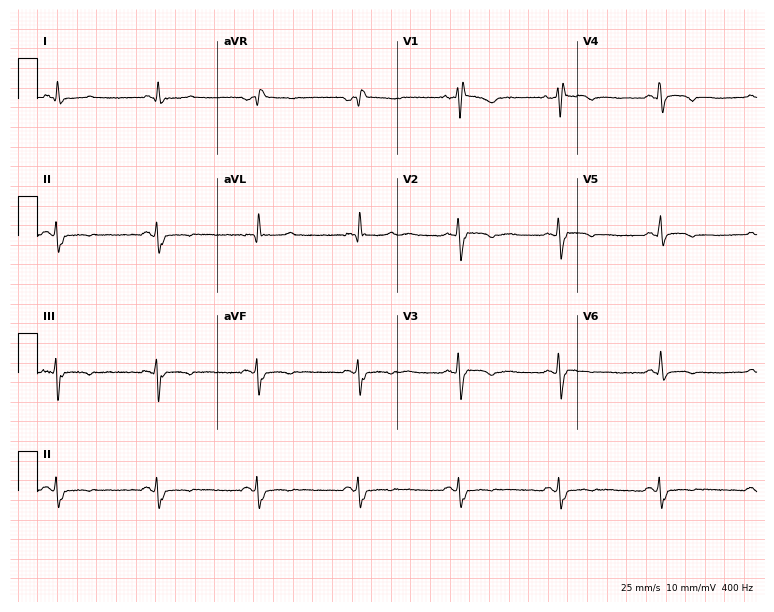
12-lead ECG from a 37-year-old male (7.3-second recording at 400 Hz). No first-degree AV block, right bundle branch block (RBBB), left bundle branch block (LBBB), sinus bradycardia, atrial fibrillation (AF) or sinus tachycardia recorded for this tracing.